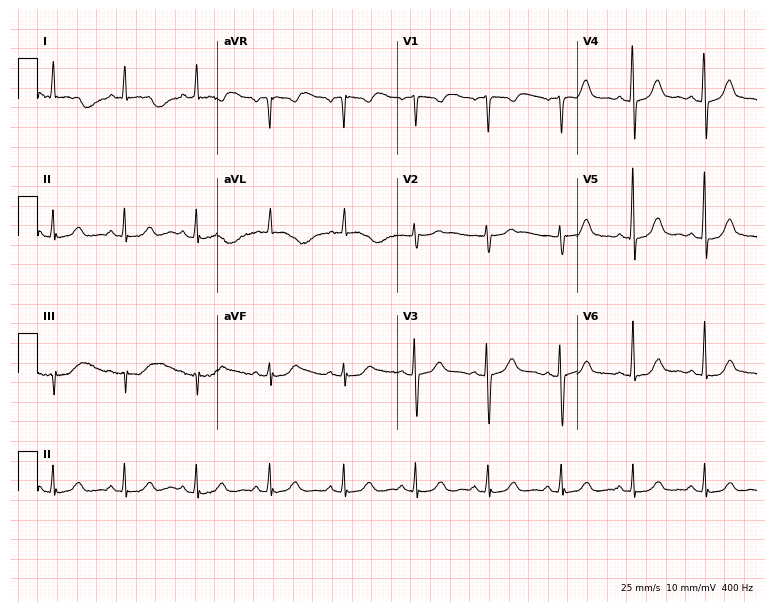
12-lead ECG from a 63-year-old female. Screened for six findings — first-degree AV block, right bundle branch block, left bundle branch block, sinus bradycardia, atrial fibrillation, sinus tachycardia — none is recorded.